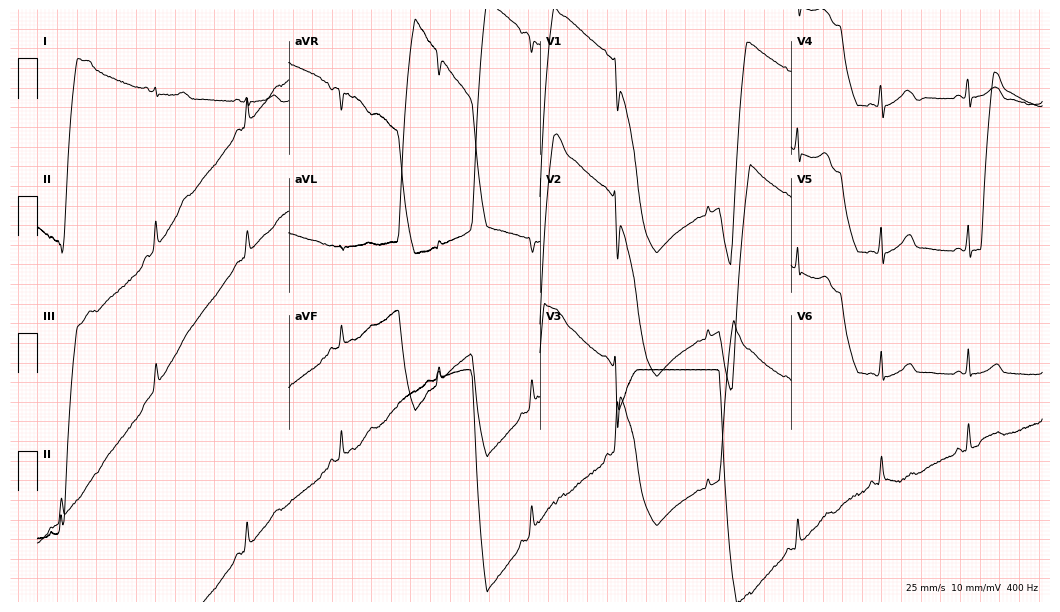
12-lead ECG from an 18-year-old female (10.2-second recording at 400 Hz). No first-degree AV block, right bundle branch block (RBBB), left bundle branch block (LBBB), sinus bradycardia, atrial fibrillation (AF) or sinus tachycardia recorded for this tracing. Only these six findings were labelled.